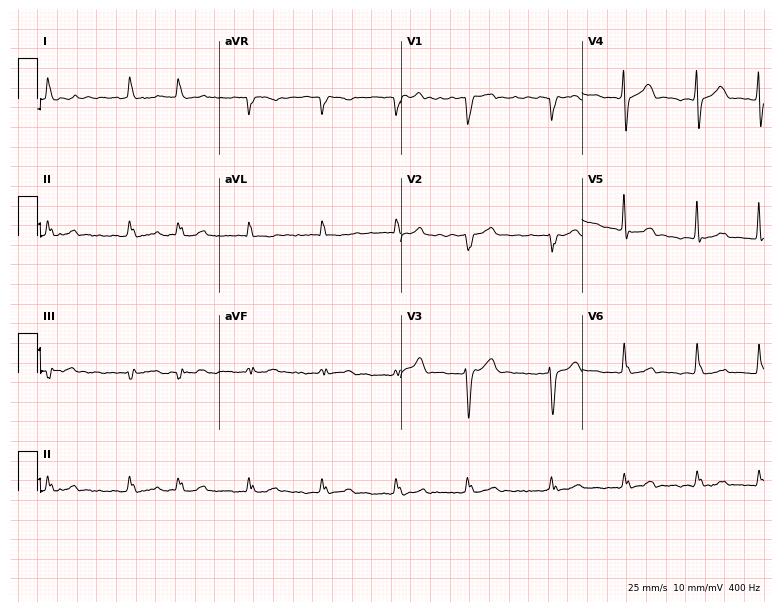
ECG (7.4-second recording at 400 Hz) — a 76-year-old female patient. Findings include atrial fibrillation.